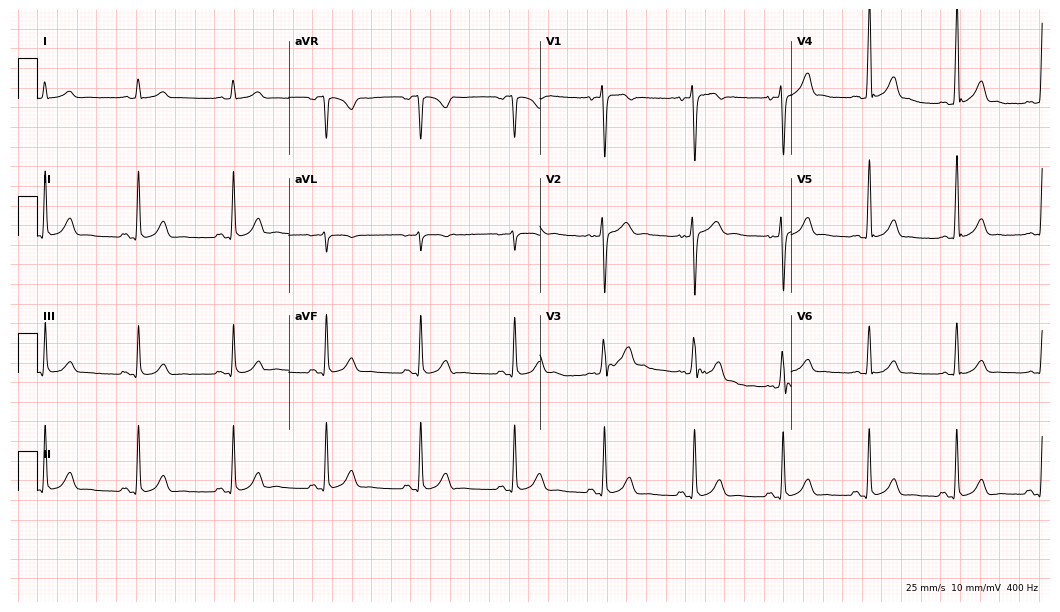
Standard 12-lead ECG recorded from a 29-year-old man (10.2-second recording at 400 Hz). Read as a normal ECG.